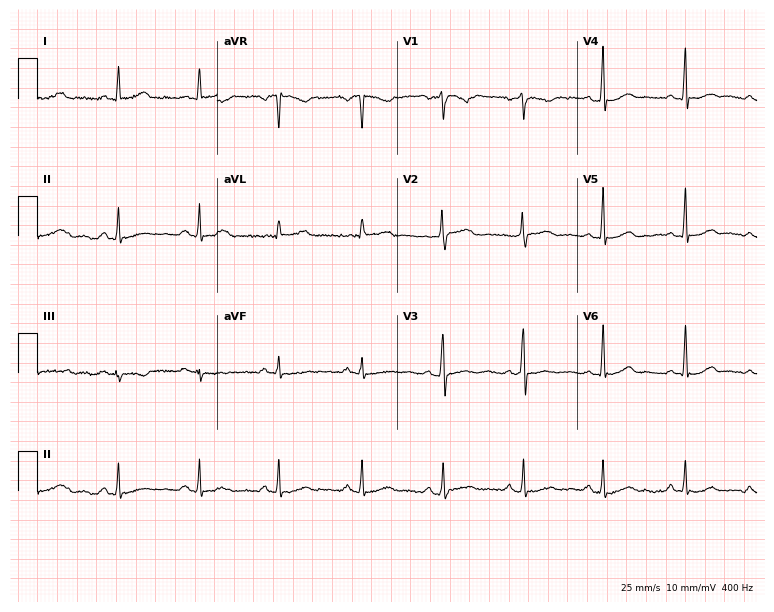
12-lead ECG from a 48-year-old female patient (7.3-second recording at 400 Hz). No first-degree AV block, right bundle branch block (RBBB), left bundle branch block (LBBB), sinus bradycardia, atrial fibrillation (AF) or sinus tachycardia recorded for this tracing. Only these six findings were labelled.